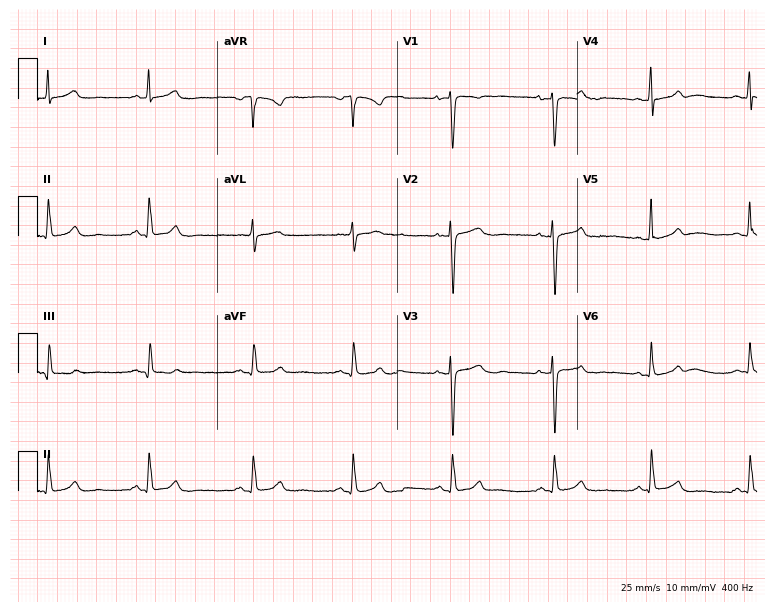
Resting 12-lead electrocardiogram (7.3-second recording at 400 Hz). Patient: a female, 46 years old. Read as a normal ECG.